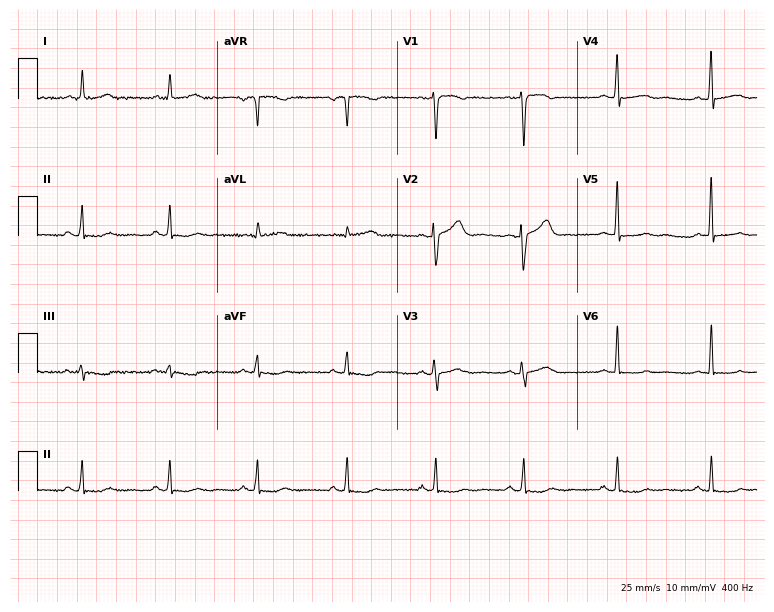
12-lead ECG from a 62-year-old woman. Screened for six findings — first-degree AV block, right bundle branch block, left bundle branch block, sinus bradycardia, atrial fibrillation, sinus tachycardia — none is recorded.